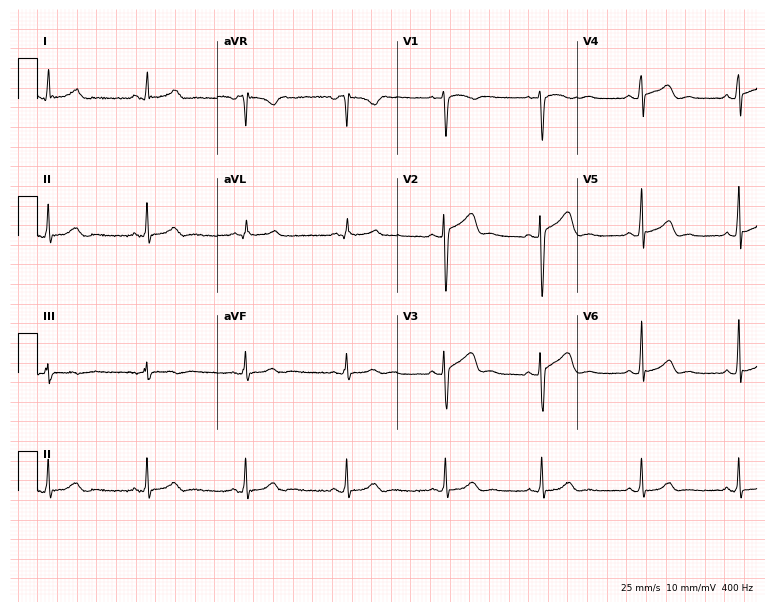
Electrocardiogram, a male patient, 31 years old. Of the six screened findings (first-degree AV block, right bundle branch block (RBBB), left bundle branch block (LBBB), sinus bradycardia, atrial fibrillation (AF), sinus tachycardia), none is recorded.